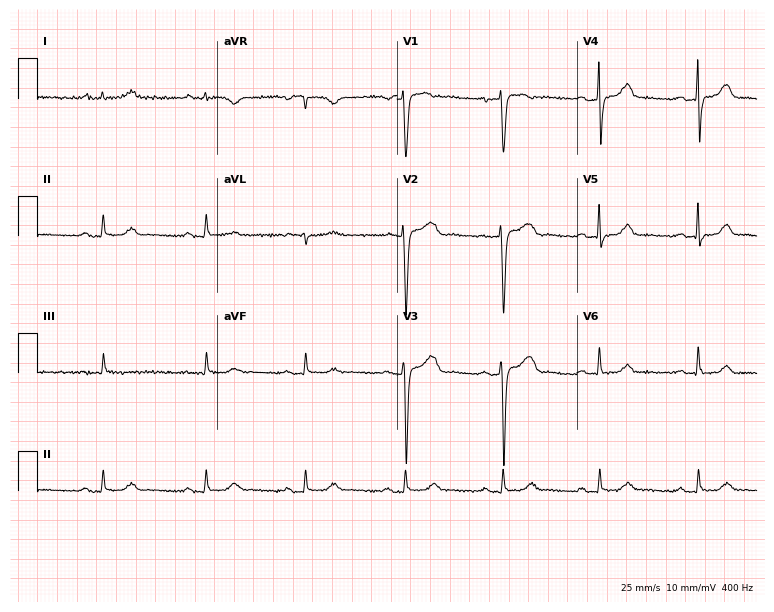
Resting 12-lead electrocardiogram (7.3-second recording at 400 Hz). Patient: a 55-year-old man. None of these six findings is recorded: first-degree AV block, right bundle branch block (RBBB), left bundle branch block (LBBB), sinus bradycardia, atrial fibrillation (AF), sinus tachycardia.